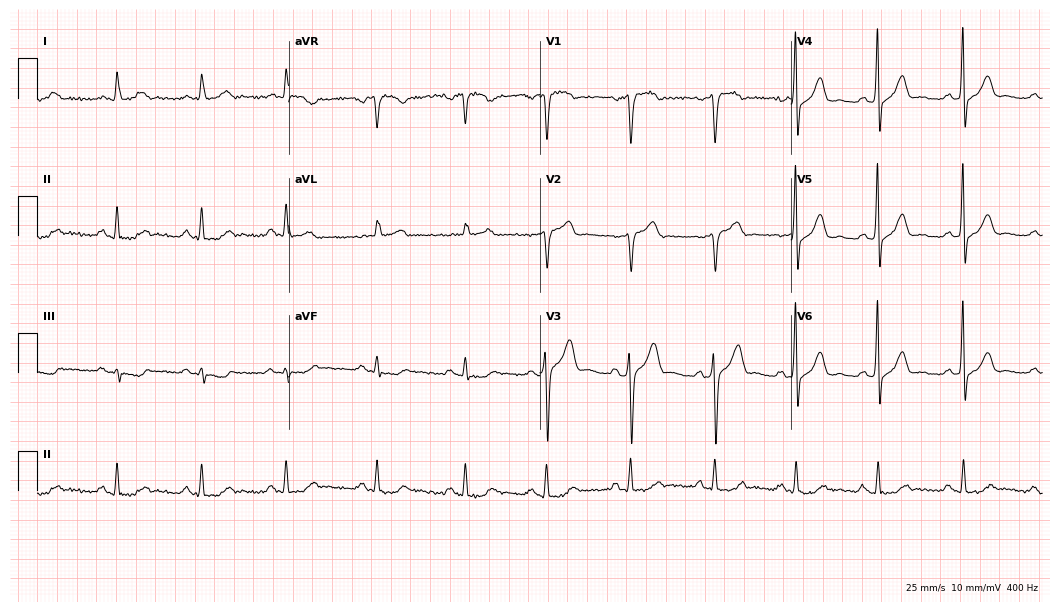
Standard 12-lead ECG recorded from a 55-year-old male patient (10.2-second recording at 400 Hz). Read as a normal ECG.